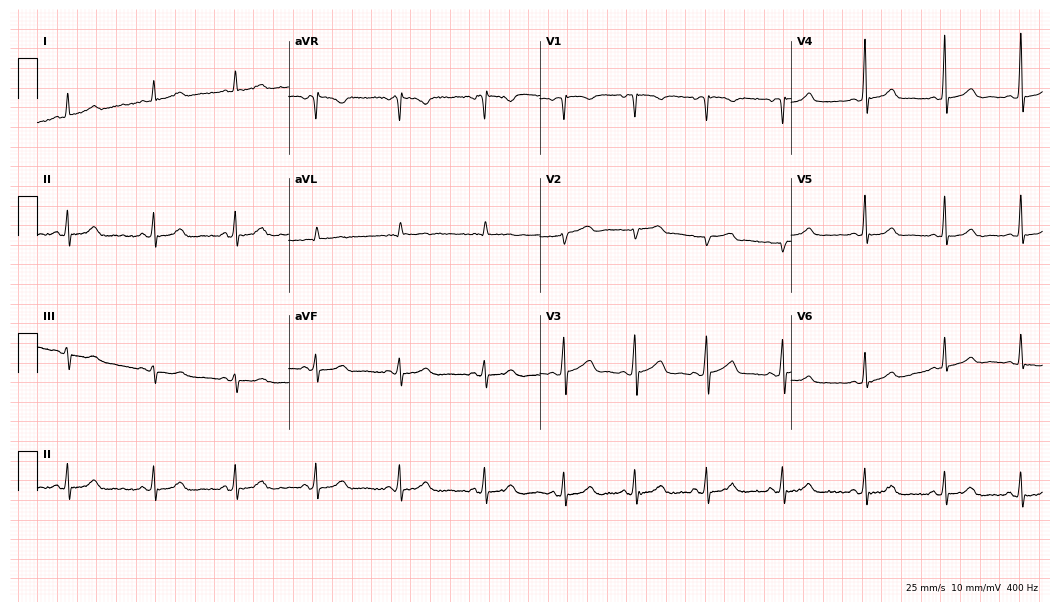
ECG (10.2-second recording at 400 Hz) — a female patient, 30 years old. Screened for six findings — first-degree AV block, right bundle branch block, left bundle branch block, sinus bradycardia, atrial fibrillation, sinus tachycardia — none is recorded. Findings outside these six are not listed.